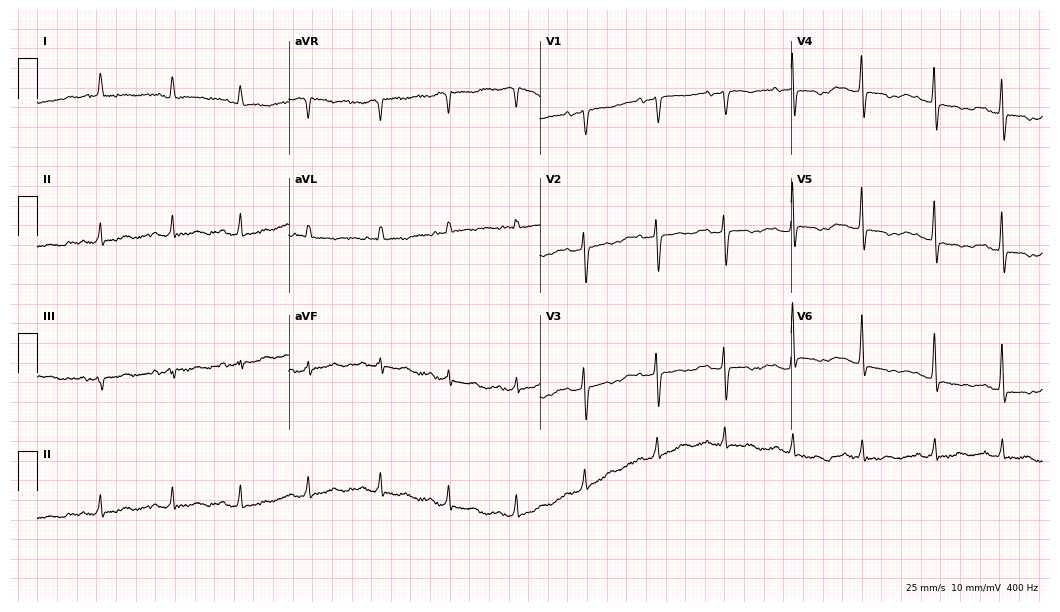
12-lead ECG from a 77-year-old woman. No first-degree AV block, right bundle branch block (RBBB), left bundle branch block (LBBB), sinus bradycardia, atrial fibrillation (AF) or sinus tachycardia recorded for this tracing. Findings outside these six are not listed.